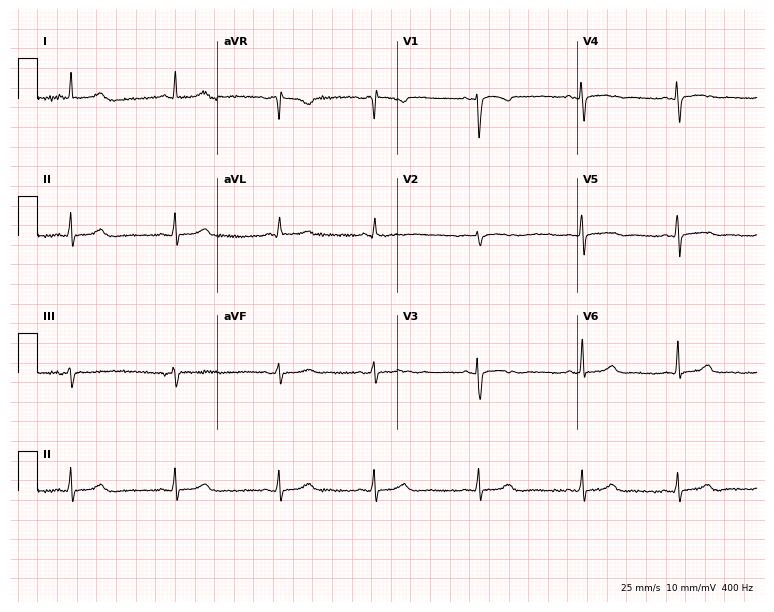
12-lead ECG (7.3-second recording at 400 Hz) from a female patient, 30 years old. Screened for six findings — first-degree AV block, right bundle branch block, left bundle branch block, sinus bradycardia, atrial fibrillation, sinus tachycardia — none is recorded.